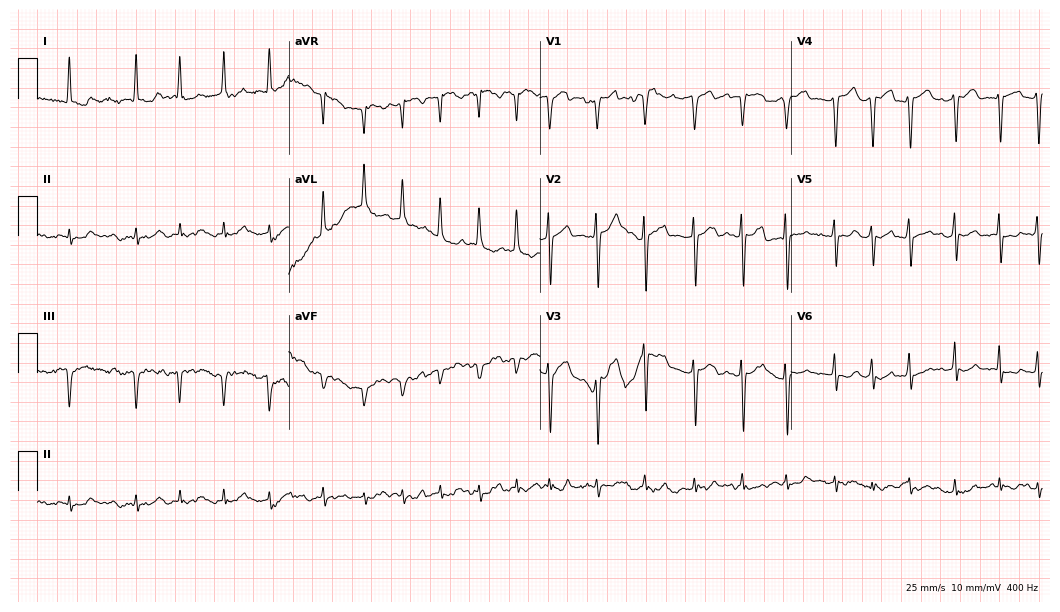
12-lead ECG from an 82-year-old woman. Shows atrial fibrillation (AF).